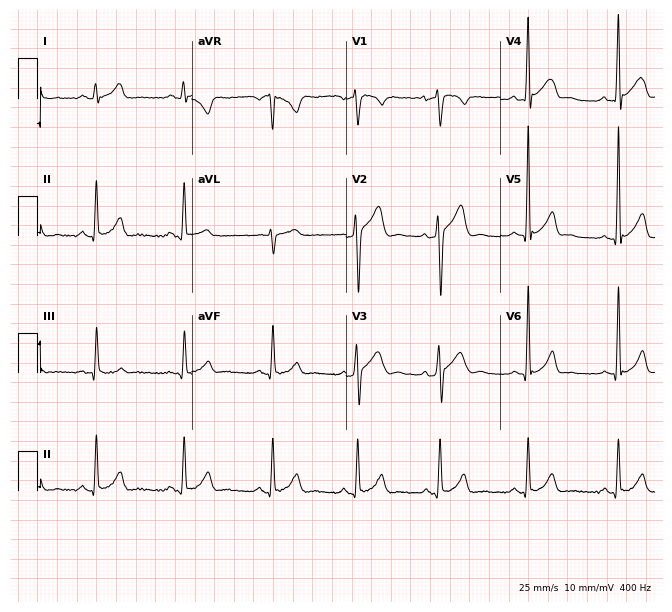
12-lead ECG from a 26-year-old male (6.3-second recording at 400 Hz). Recorded interpretation: within normal limits.